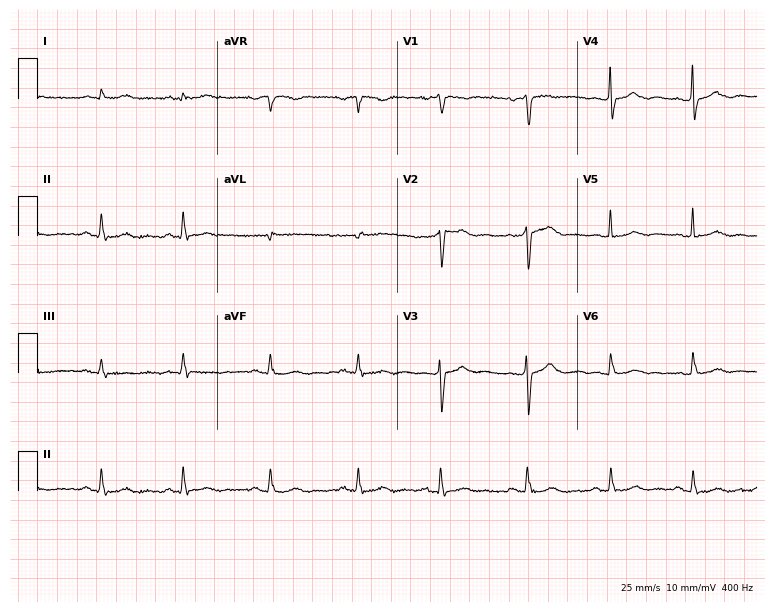
12-lead ECG from a 74-year-old male. Labelled as a normal ECG.